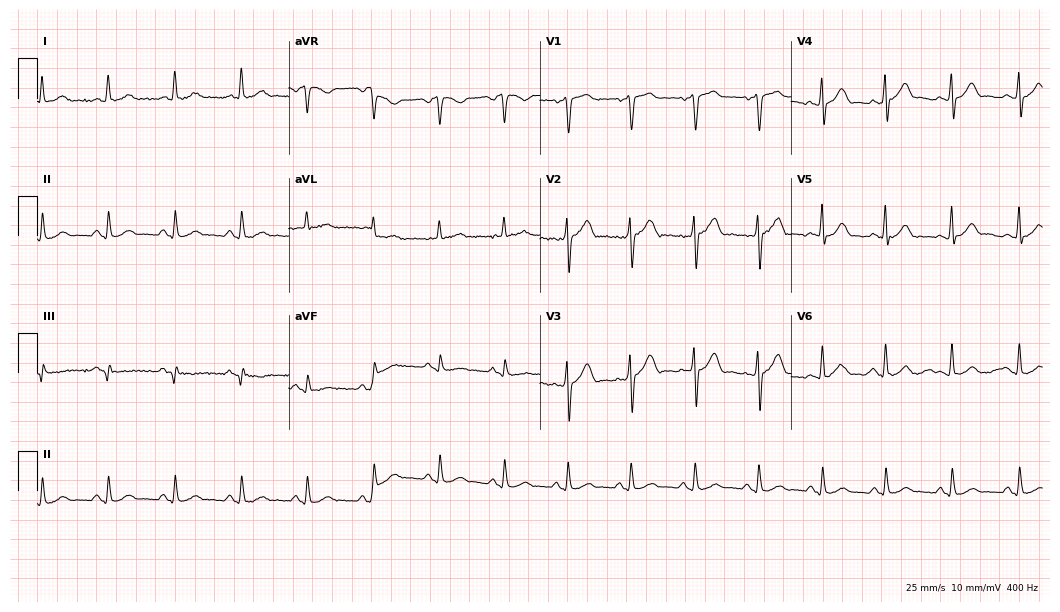
Resting 12-lead electrocardiogram (10.2-second recording at 400 Hz). Patient: a 42-year-old male. Read as a normal ECG.